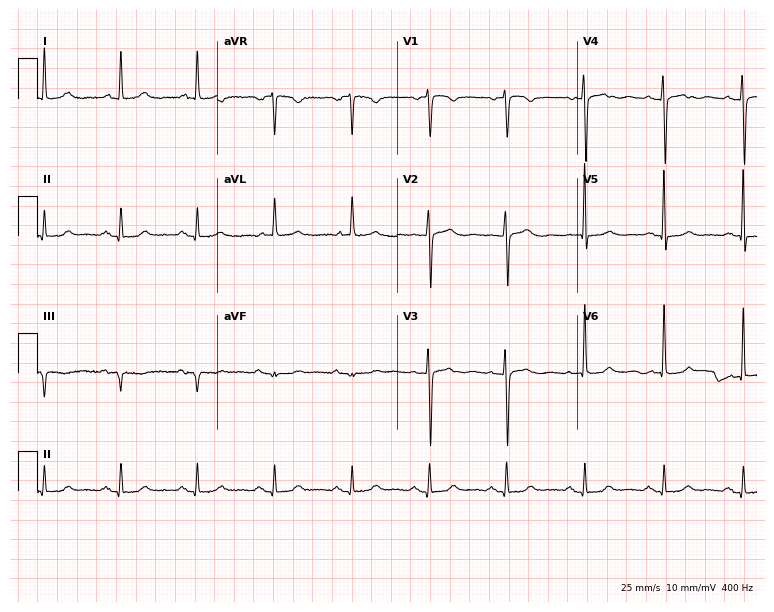
12-lead ECG from a 73-year-old woman. Screened for six findings — first-degree AV block, right bundle branch block, left bundle branch block, sinus bradycardia, atrial fibrillation, sinus tachycardia — none is recorded. Findings outside these six are not listed.